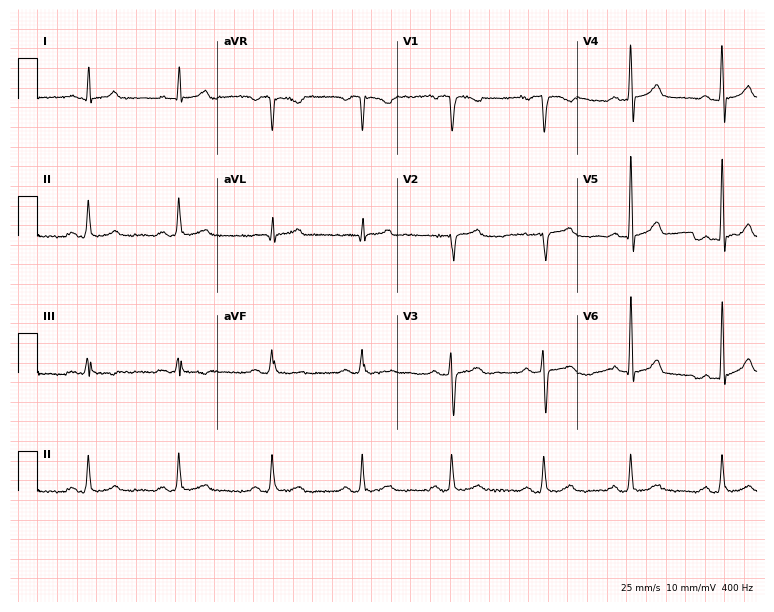
12-lead ECG from a 61-year-old male patient (7.3-second recording at 400 Hz). No first-degree AV block, right bundle branch block (RBBB), left bundle branch block (LBBB), sinus bradycardia, atrial fibrillation (AF) or sinus tachycardia recorded for this tracing. Other findings, if any, are not listed.